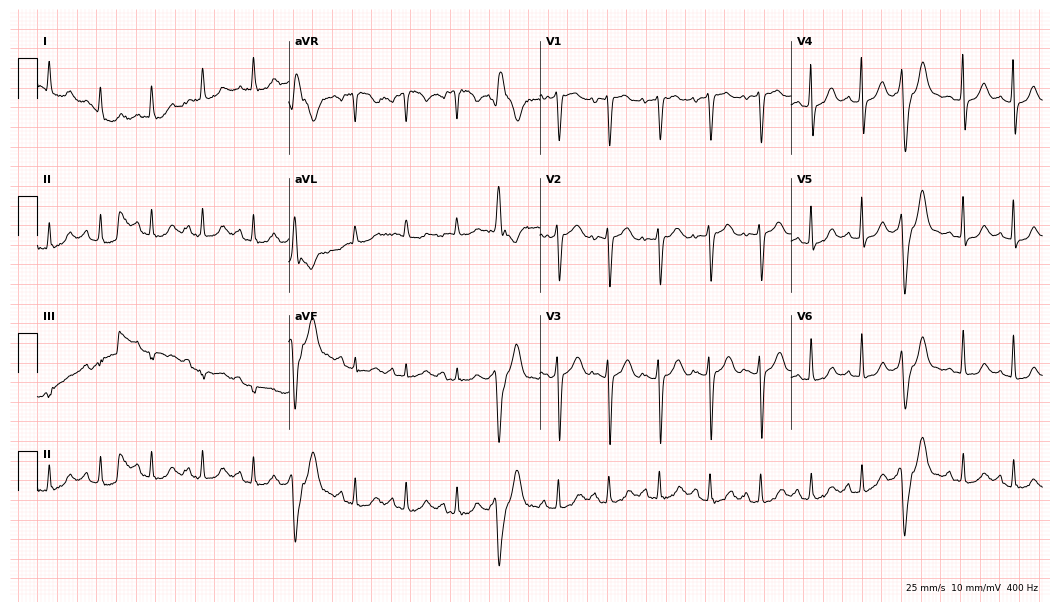
Resting 12-lead electrocardiogram. Patient: a 79-year-old female. The tracing shows sinus tachycardia (a sinus rate of 100 beats per minute or more).